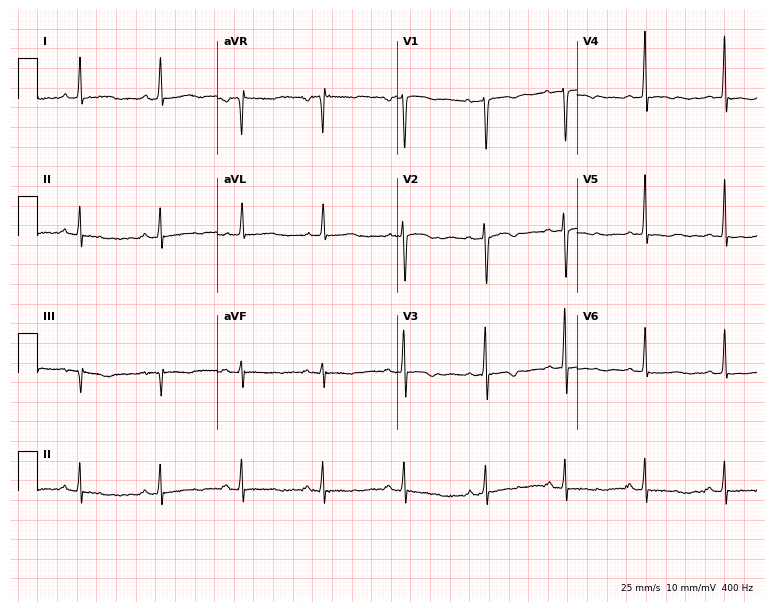
Resting 12-lead electrocardiogram. Patient: a woman, 44 years old. None of these six findings is recorded: first-degree AV block, right bundle branch block (RBBB), left bundle branch block (LBBB), sinus bradycardia, atrial fibrillation (AF), sinus tachycardia. Other findings, if any, are not listed.